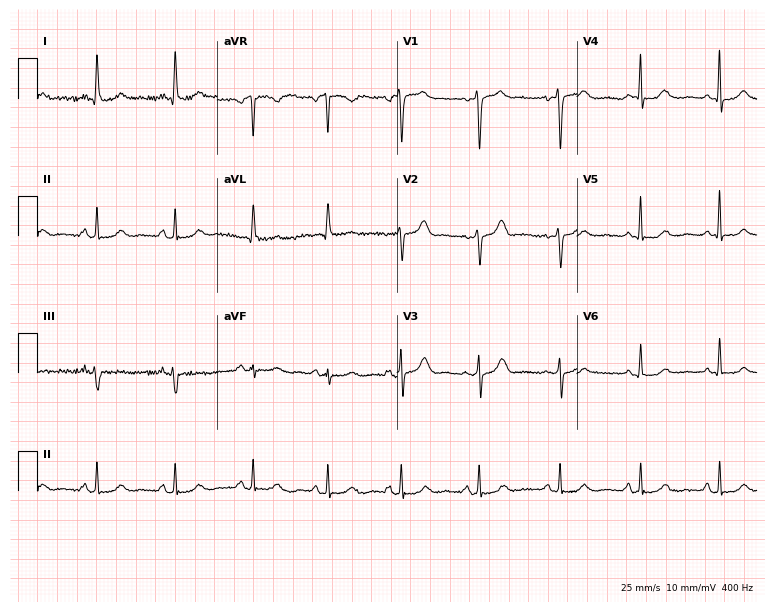
Electrocardiogram, a female patient, 45 years old. Overall reading on record: normal ECG.